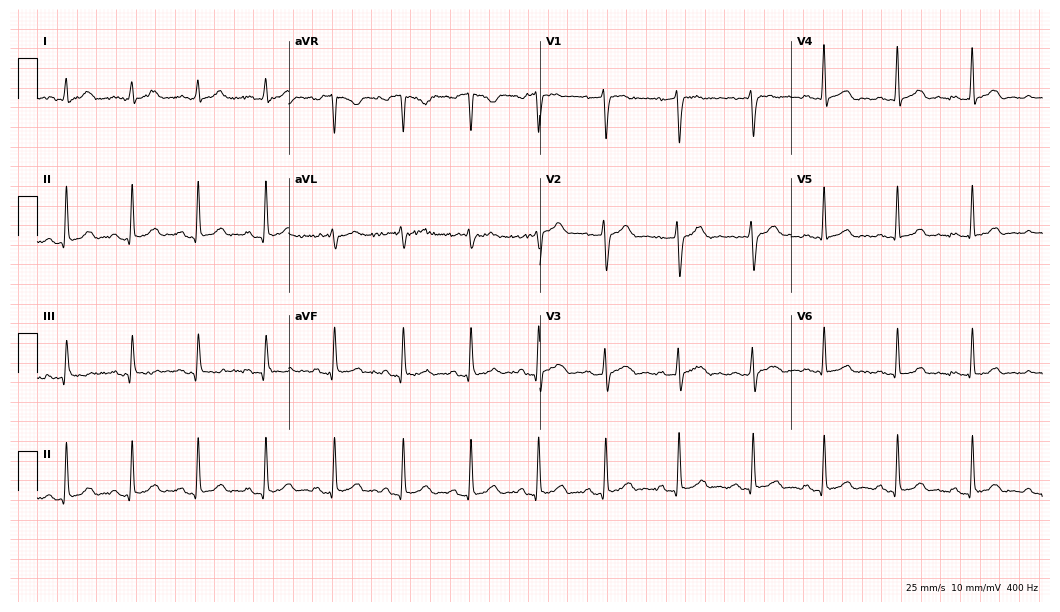
Electrocardiogram (10.2-second recording at 400 Hz), a 29-year-old female. Overall reading on record: normal ECG.